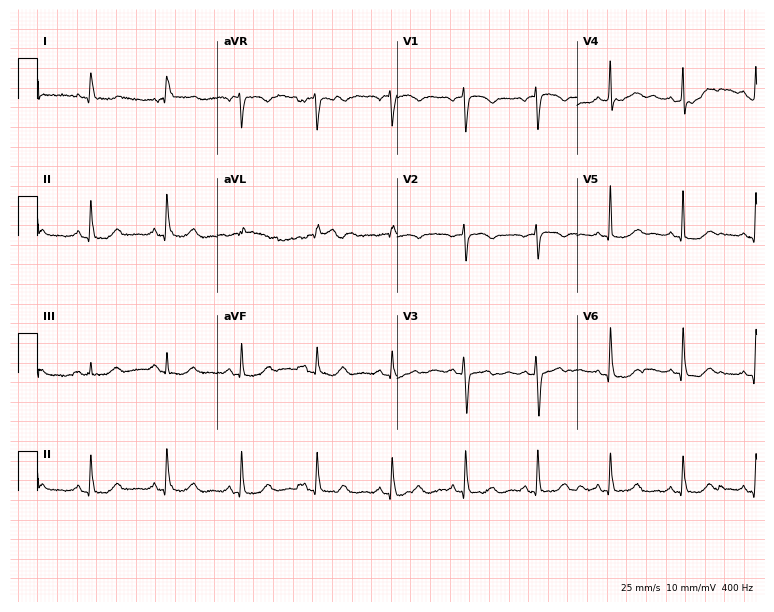
Standard 12-lead ECG recorded from a female, 65 years old. None of these six findings is recorded: first-degree AV block, right bundle branch block (RBBB), left bundle branch block (LBBB), sinus bradycardia, atrial fibrillation (AF), sinus tachycardia. Findings outside these six are not listed.